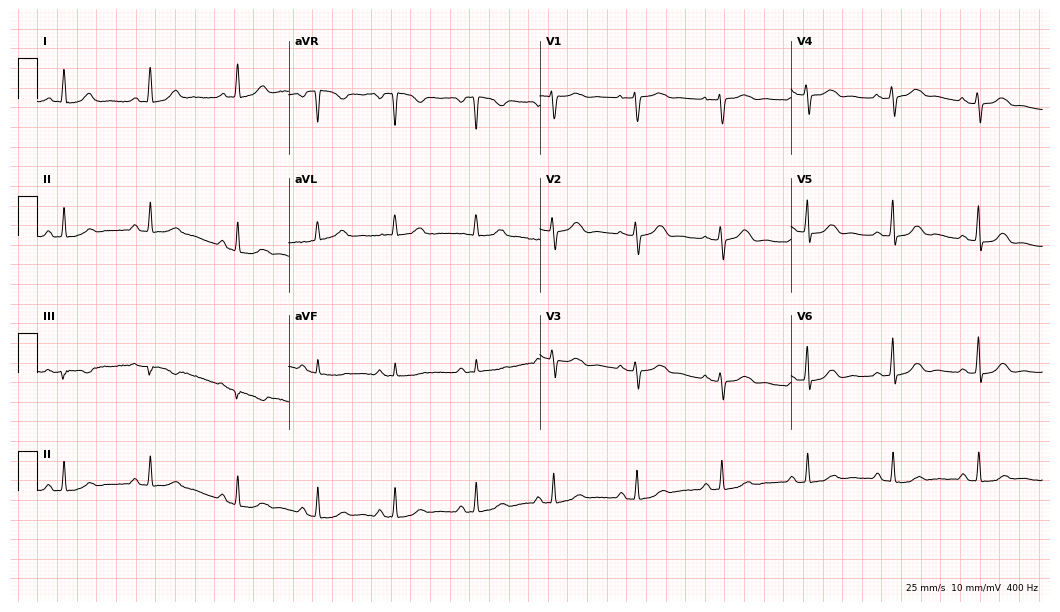
Electrocardiogram (10.2-second recording at 400 Hz), a female patient, 58 years old. Overall reading on record: normal ECG.